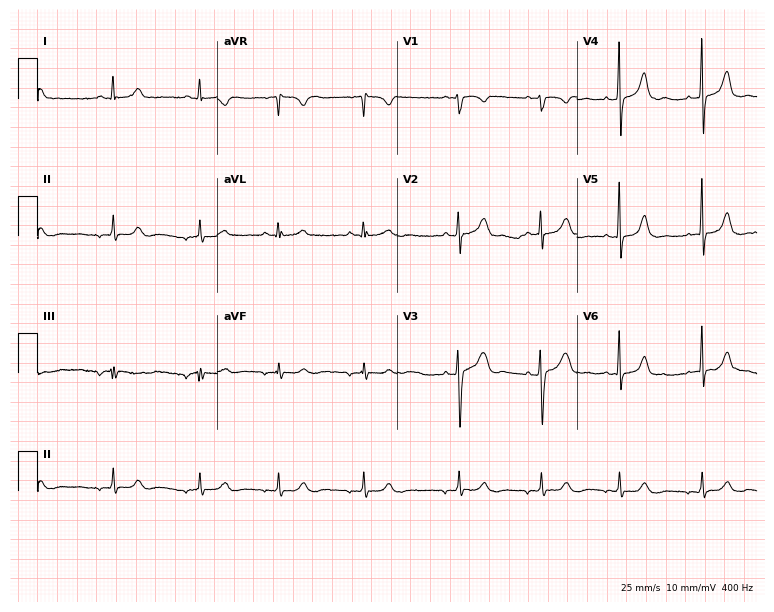
Standard 12-lead ECG recorded from a female, 18 years old (7.3-second recording at 400 Hz). Read as a normal ECG.